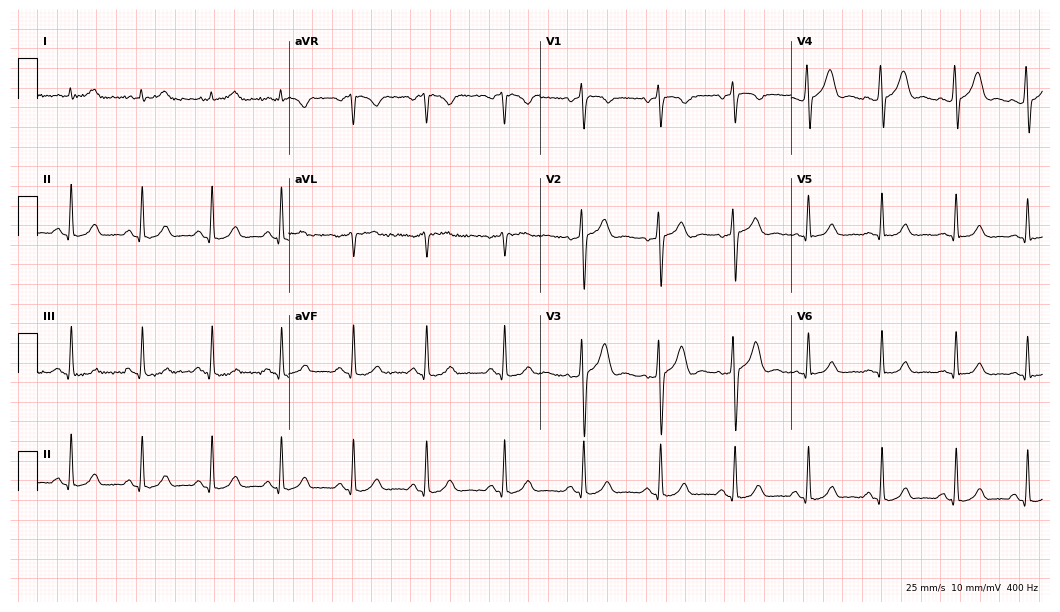
12-lead ECG (10.2-second recording at 400 Hz) from a male patient, 42 years old. Screened for six findings — first-degree AV block, right bundle branch block, left bundle branch block, sinus bradycardia, atrial fibrillation, sinus tachycardia — none is recorded. Only these six findings were labelled.